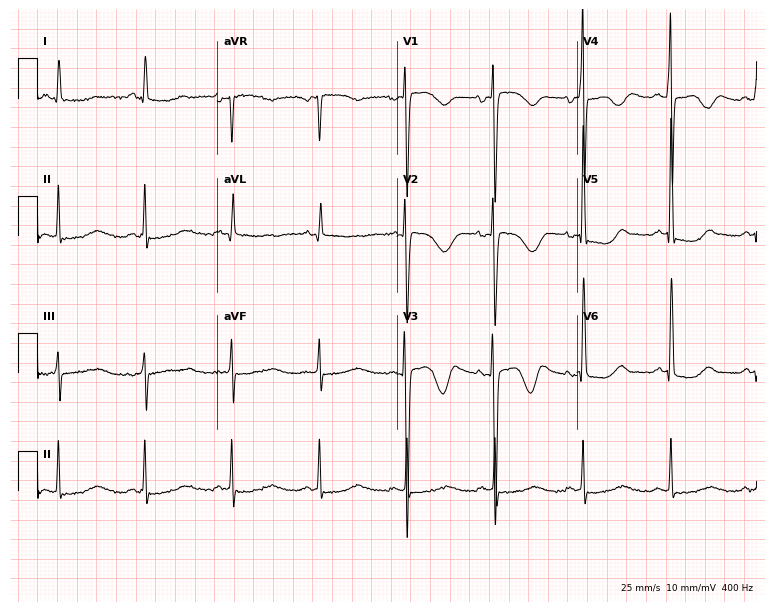
Electrocardiogram, a woman, 73 years old. Of the six screened findings (first-degree AV block, right bundle branch block (RBBB), left bundle branch block (LBBB), sinus bradycardia, atrial fibrillation (AF), sinus tachycardia), none is recorded. Other findings, if any, are not listed.